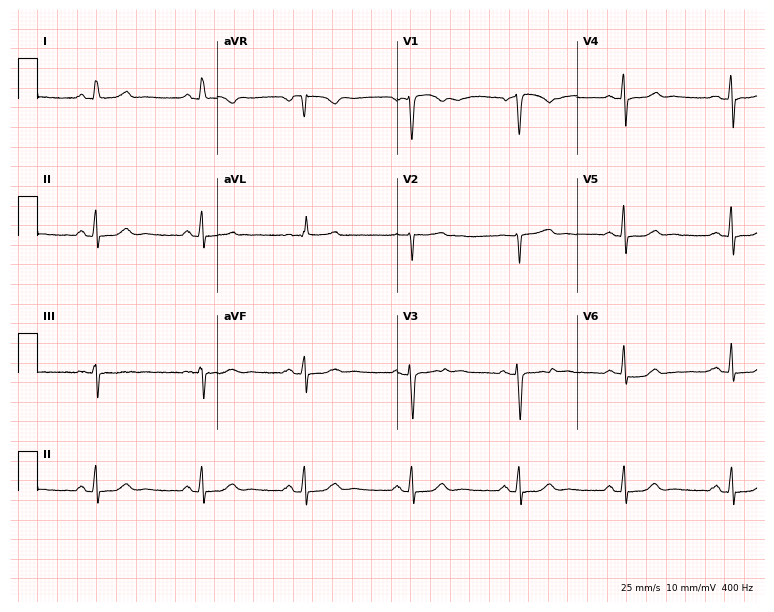
Standard 12-lead ECG recorded from a female, 65 years old. None of these six findings is recorded: first-degree AV block, right bundle branch block, left bundle branch block, sinus bradycardia, atrial fibrillation, sinus tachycardia.